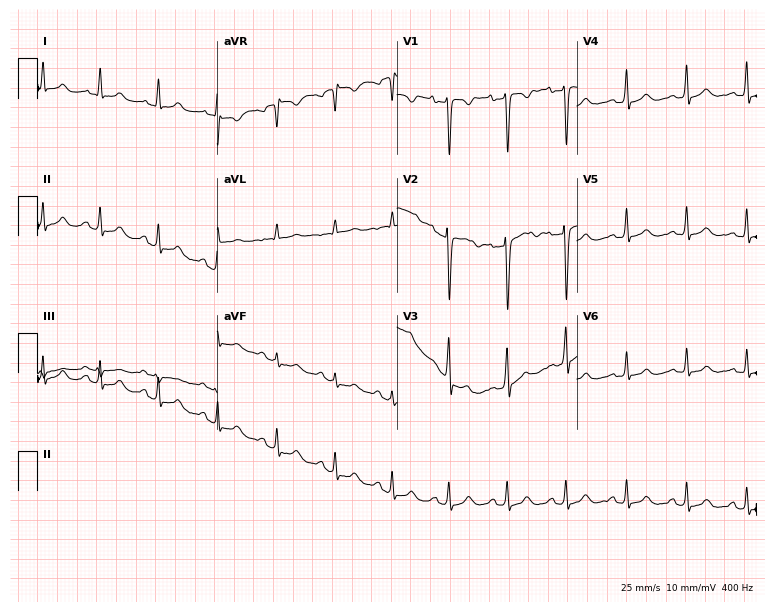
12-lead ECG (7.3-second recording at 400 Hz) from an 18-year-old female patient. Screened for six findings — first-degree AV block, right bundle branch block, left bundle branch block, sinus bradycardia, atrial fibrillation, sinus tachycardia — none is recorded.